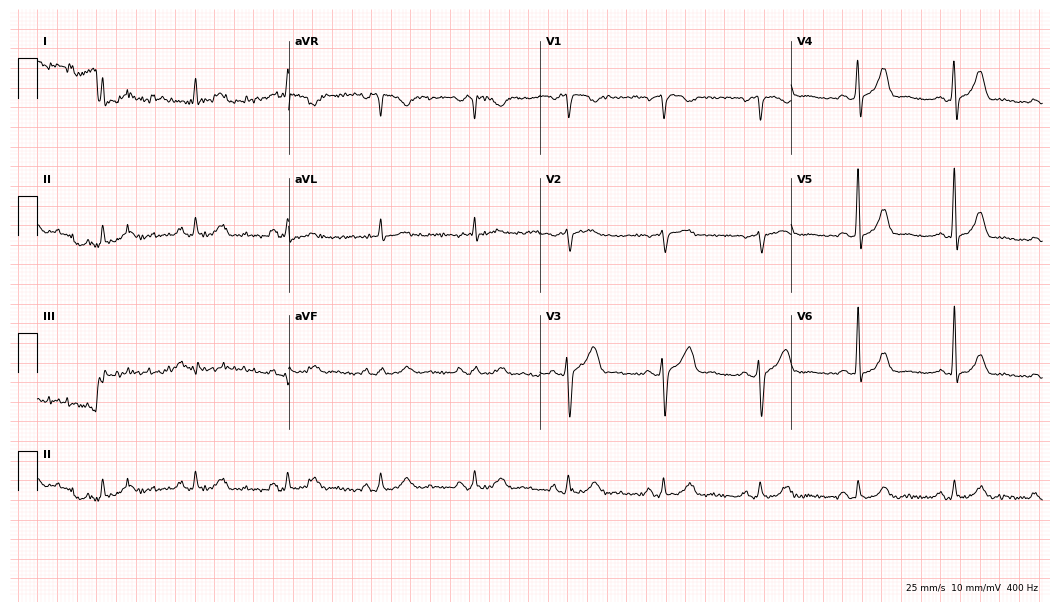
12-lead ECG from a 73-year-old male. No first-degree AV block, right bundle branch block, left bundle branch block, sinus bradycardia, atrial fibrillation or sinus tachycardia recorded for this tracing. Findings outside these six are not listed.